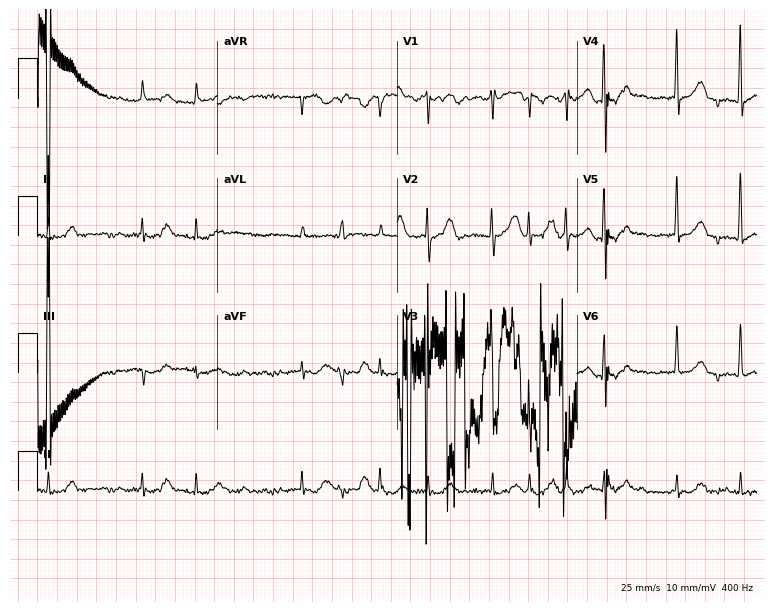
12-lead ECG from a 76-year-old female patient. Screened for six findings — first-degree AV block, right bundle branch block, left bundle branch block, sinus bradycardia, atrial fibrillation, sinus tachycardia — none is recorded. Findings outside these six are not listed.